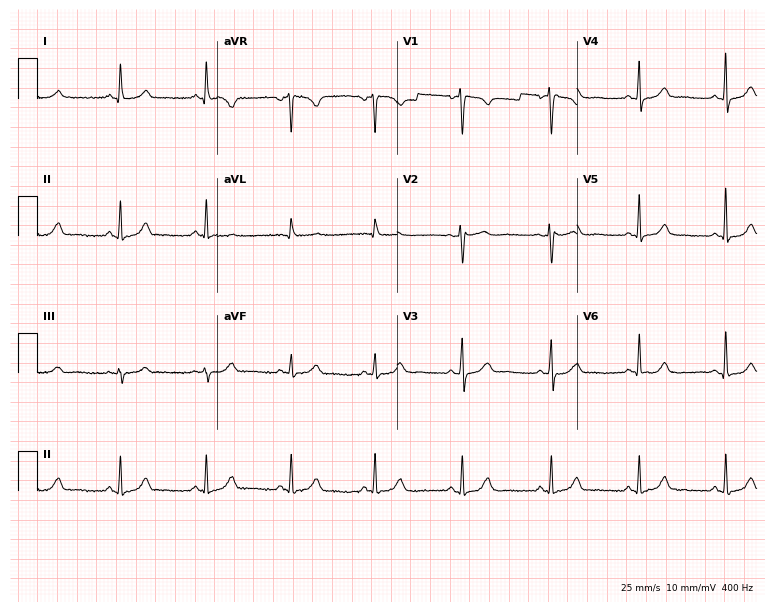
12-lead ECG (7.3-second recording at 400 Hz) from a female patient, 46 years old. Labelled as a normal ECG.